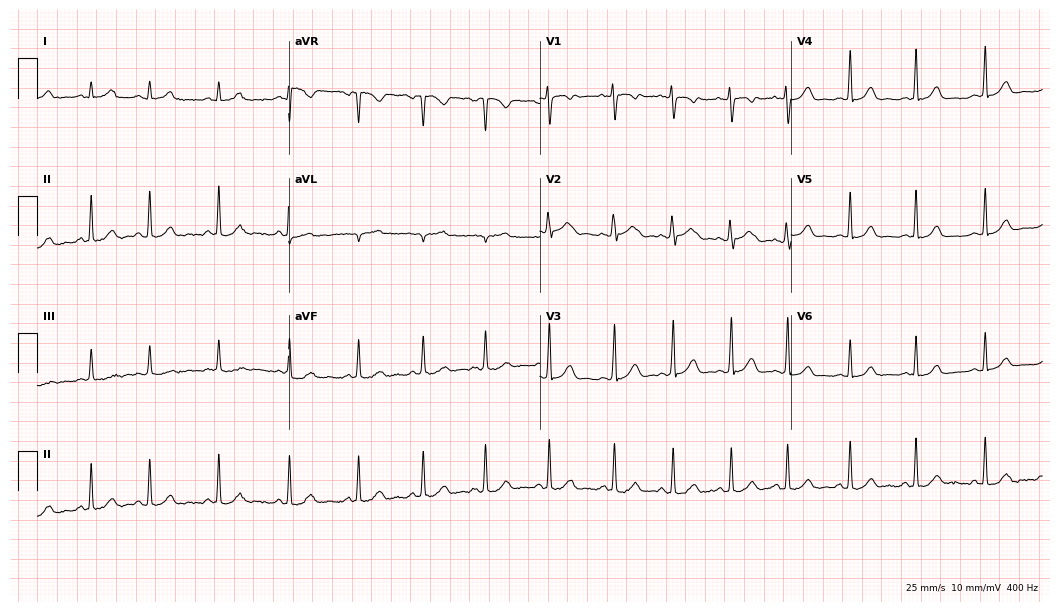
ECG — a female patient, 27 years old. Labelled as a normal ECG.